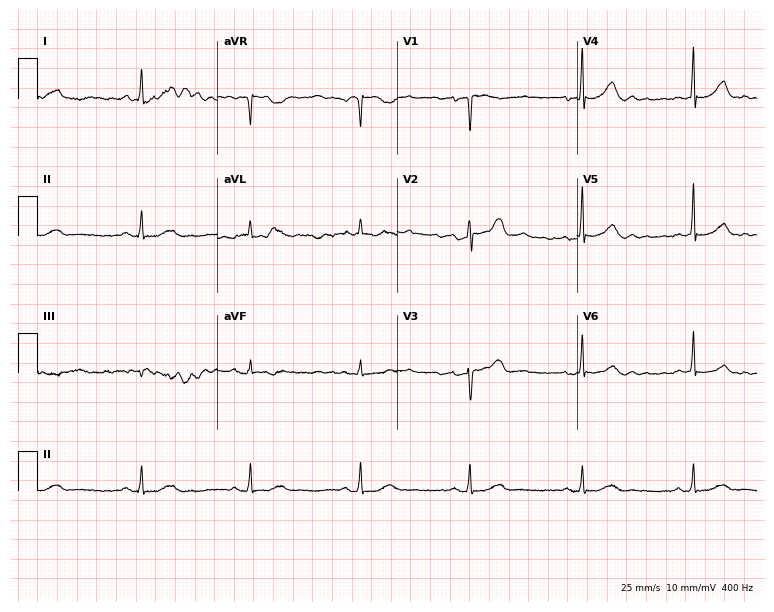
ECG (7.3-second recording at 400 Hz) — an 80-year-old woman. Screened for six findings — first-degree AV block, right bundle branch block (RBBB), left bundle branch block (LBBB), sinus bradycardia, atrial fibrillation (AF), sinus tachycardia — none is recorded.